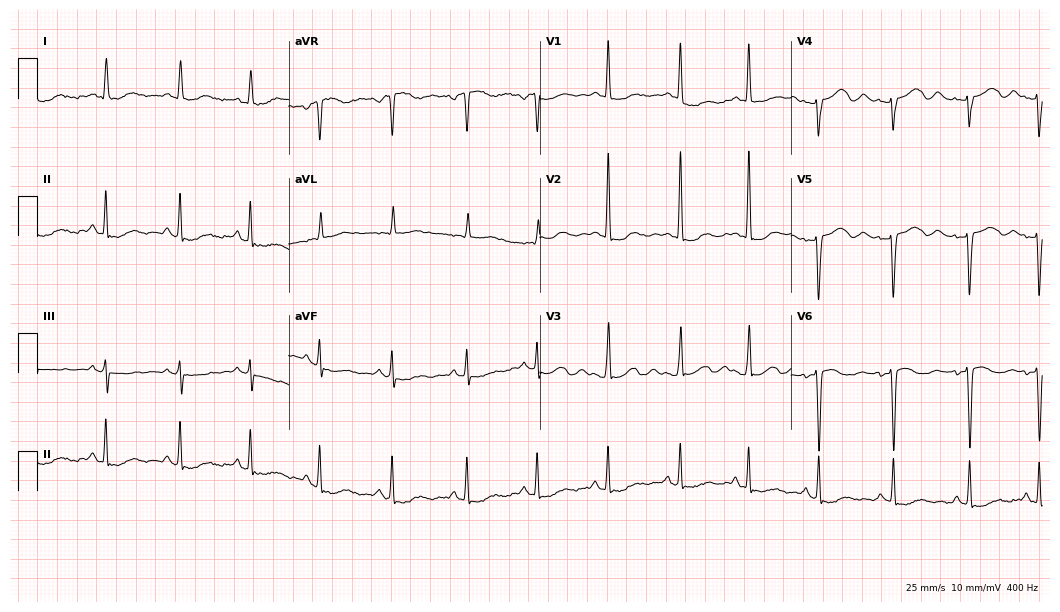
12-lead ECG from a 31-year-old woman (10.2-second recording at 400 Hz). No first-degree AV block, right bundle branch block, left bundle branch block, sinus bradycardia, atrial fibrillation or sinus tachycardia recorded for this tracing. Findings outside these six are not listed.